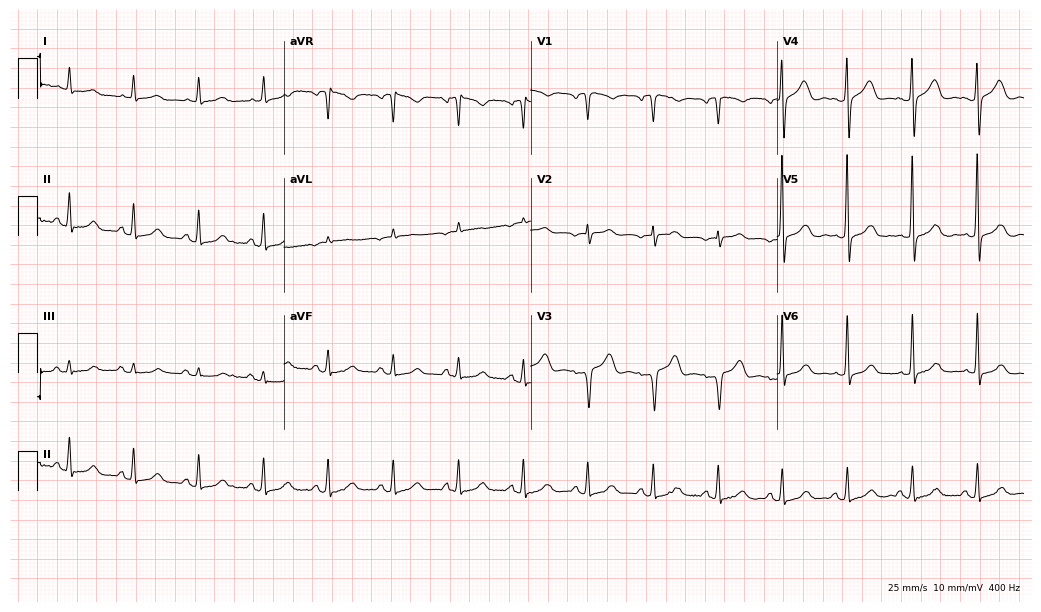
12-lead ECG from a woman, 81 years old. Recorded interpretation: within normal limits.